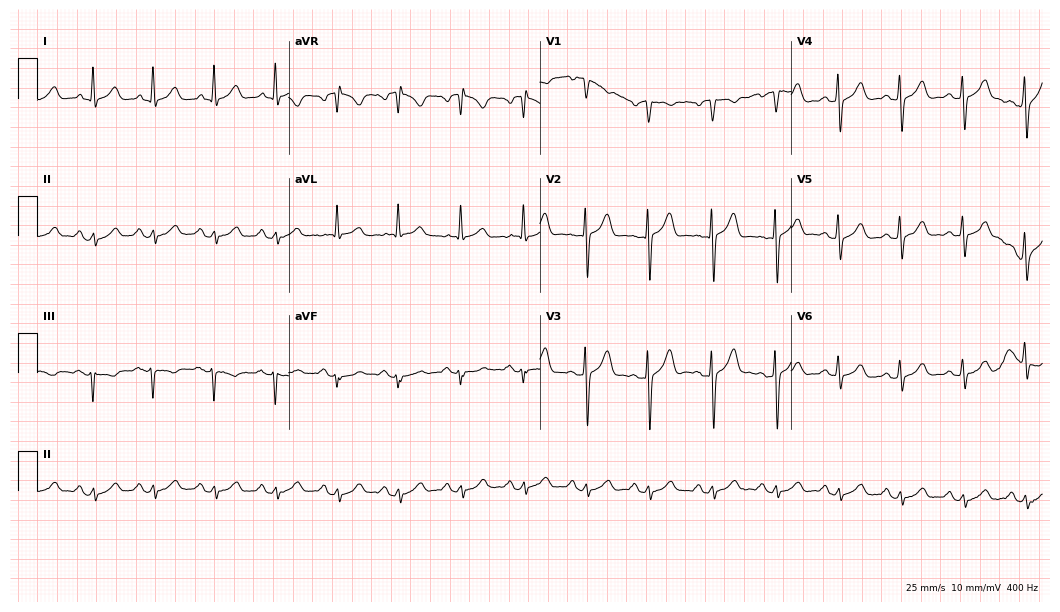
12-lead ECG from a woman, 73 years old. Screened for six findings — first-degree AV block, right bundle branch block (RBBB), left bundle branch block (LBBB), sinus bradycardia, atrial fibrillation (AF), sinus tachycardia — none is recorded. Findings outside these six are not listed.